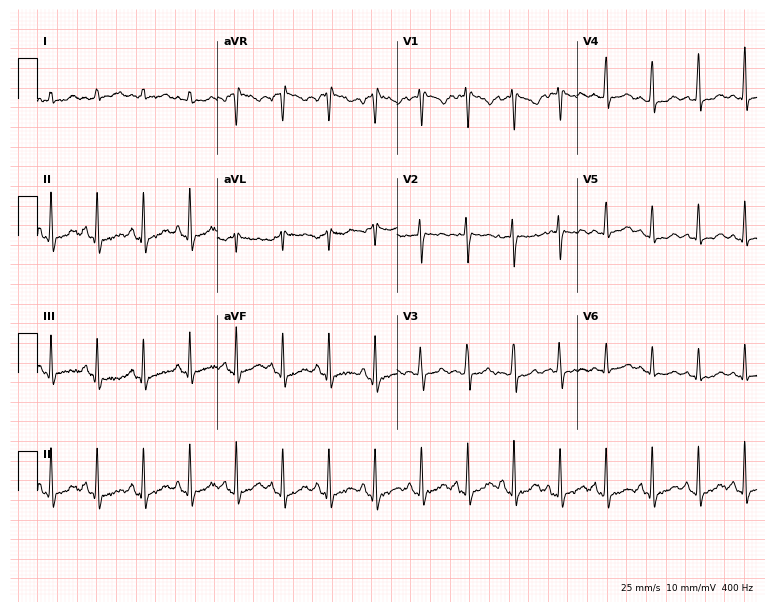
12-lead ECG (7.3-second recording at 400 Hz) from a female patient, 20 years old. Screened for six findings — first-degree AV block, right bundle branch block, left bundle branch block, sinus bradycardia, atrial fibrillation, sinus tachycardia — none is recorded. Only these six findings were labelled.